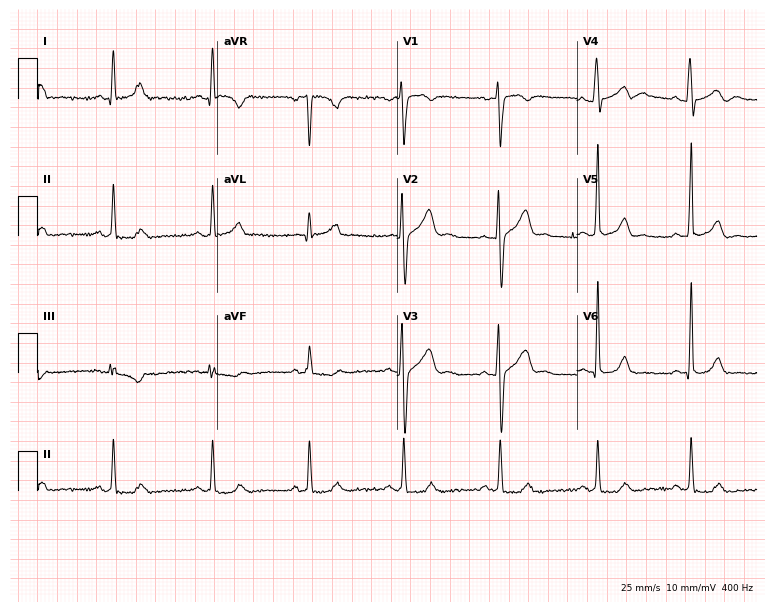
Standard 12-lead ECG recorded from a 34-year-old male (7.3-second recording at 400 Hz). Read as a normal ECG.